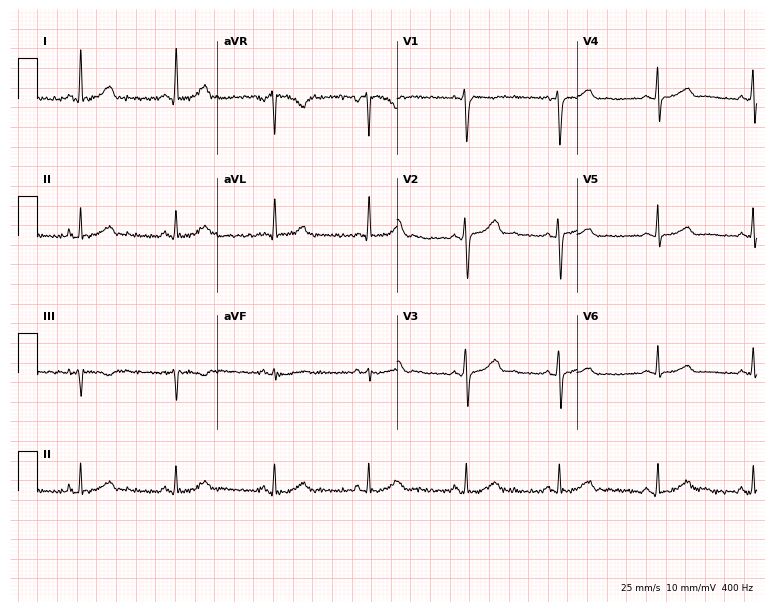
Resting 12-lead electrocardiogram (7.3-second recording at 400 Hz). Patient: a female, 44 years old. None of these six findings is recorded: first-degree AV block, right bundle branch block, left bundle branch block, sinus bradycardia, atrial fibrillation, sinus tachycardia.